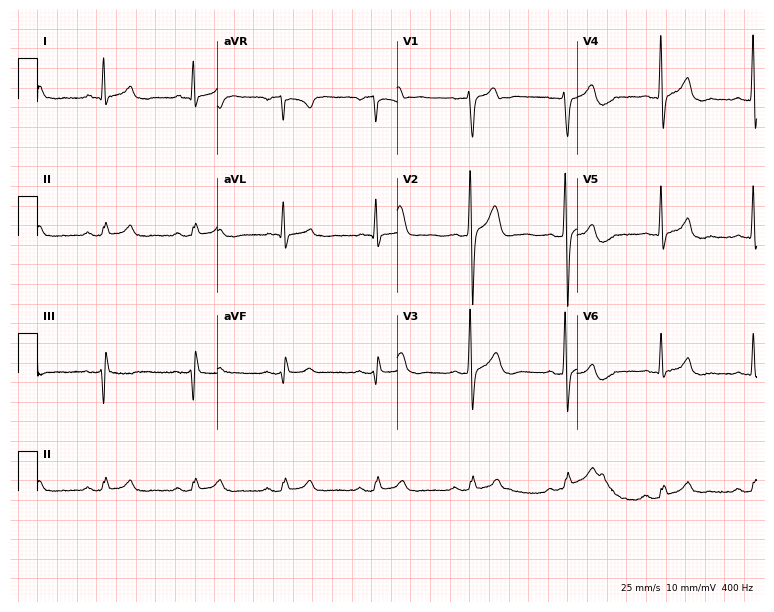
ECG (7.3-second recording at 400 Hz) — a male, 39 years old. Labelled as a normal ECG.